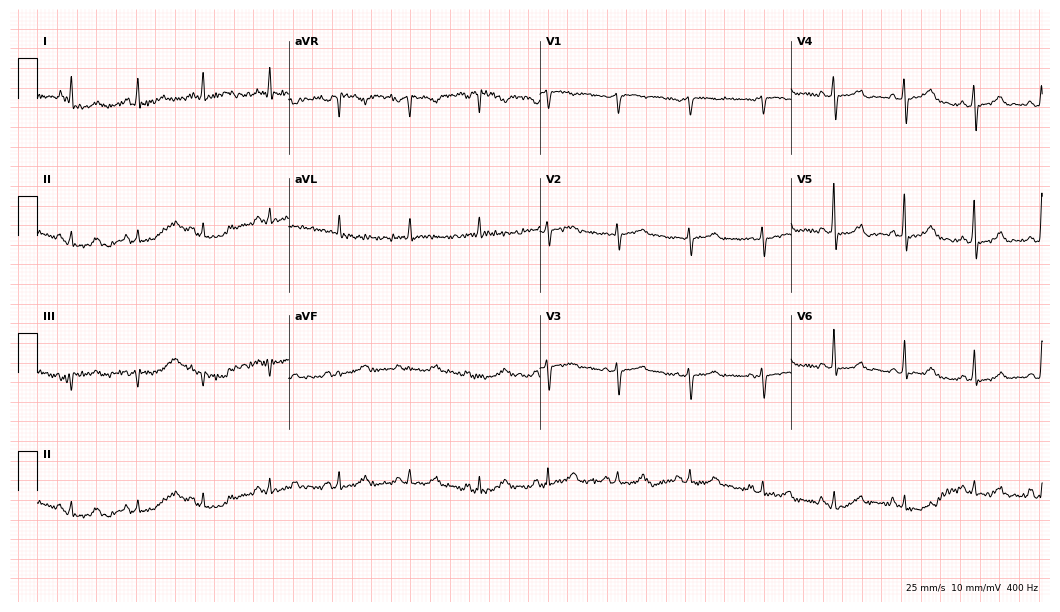
Standard 12-lead ECG recorded from a 72-year-old female patient (10.2-second recording at 400 Hz). None of these six findings is recorded: first-degree AV block, right bundle branch block, left bundle branch block, sinus bradycardia, atrial fibrillation, sinus tachycardia. Other findings, if any, are not listed.